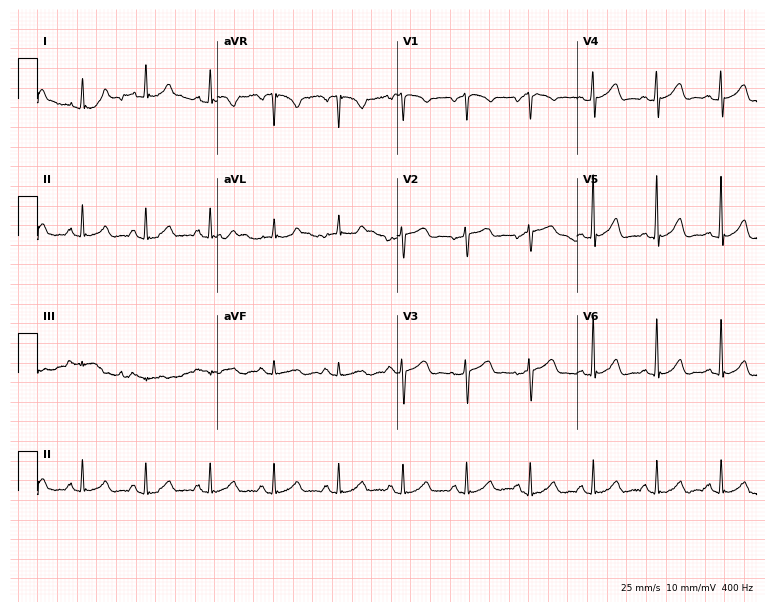
ECG (7.3-second recording at 400 Hz) — a 59-year-old female. Labelled as a normal ECG.